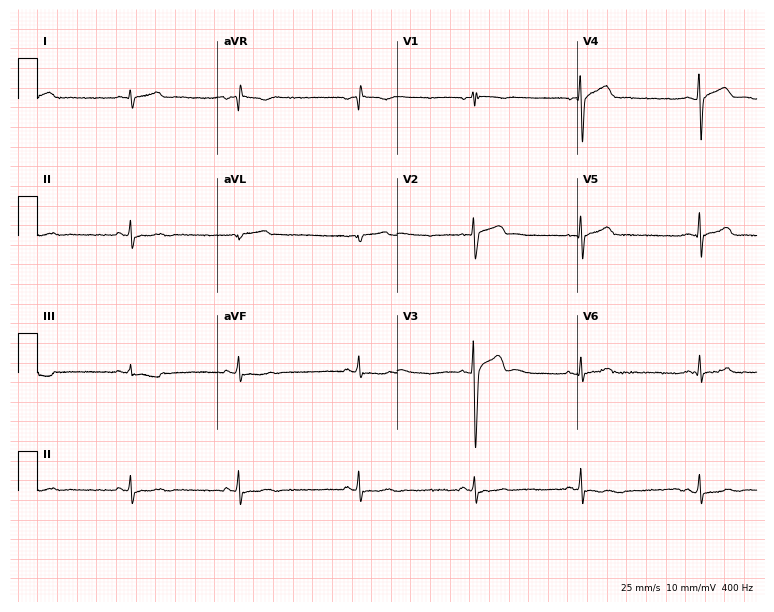
12-lead ECG from a male, 24 years old. No first-degree AV block, right bundle branch block, left bundle branch block, sinus bradycardia, atrial fibrillation or sinus tachycardia recorded for this tracing. Only these six findings were labelled.